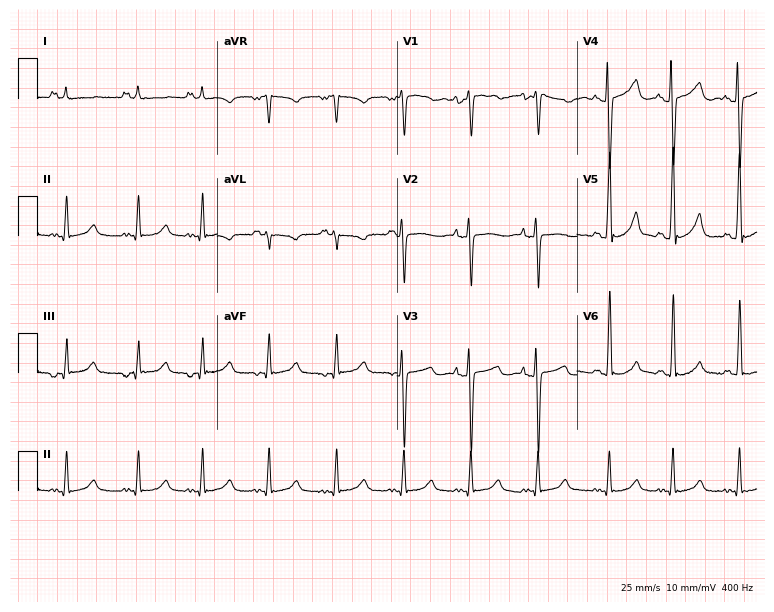
ECG — a female patient, 29 years old. Labelled as a normal ECG.